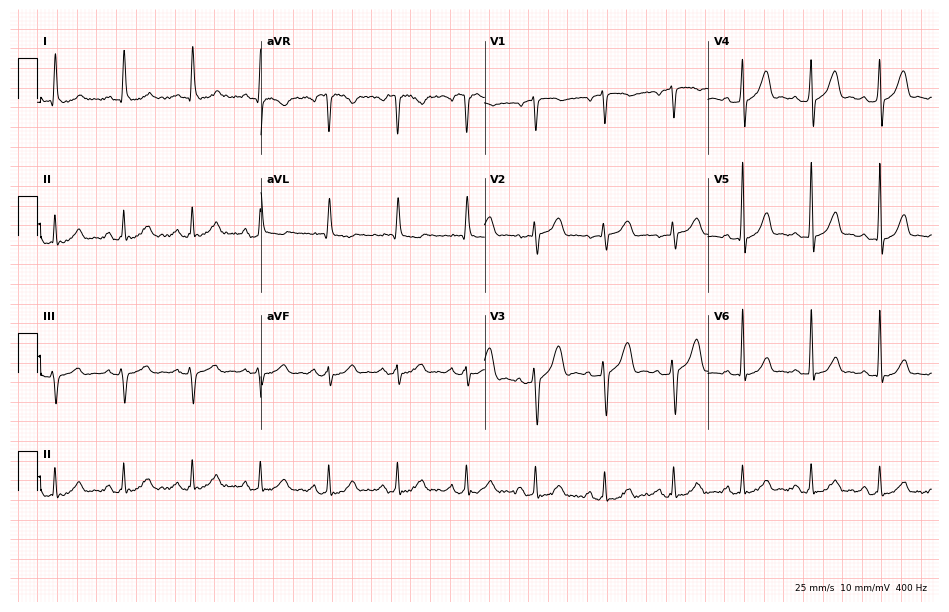
Resting 12-lead electrocardiogram (9.1-second recording at 400 Hz). Patient: a 79-year-old male. Read as a normal ECG.